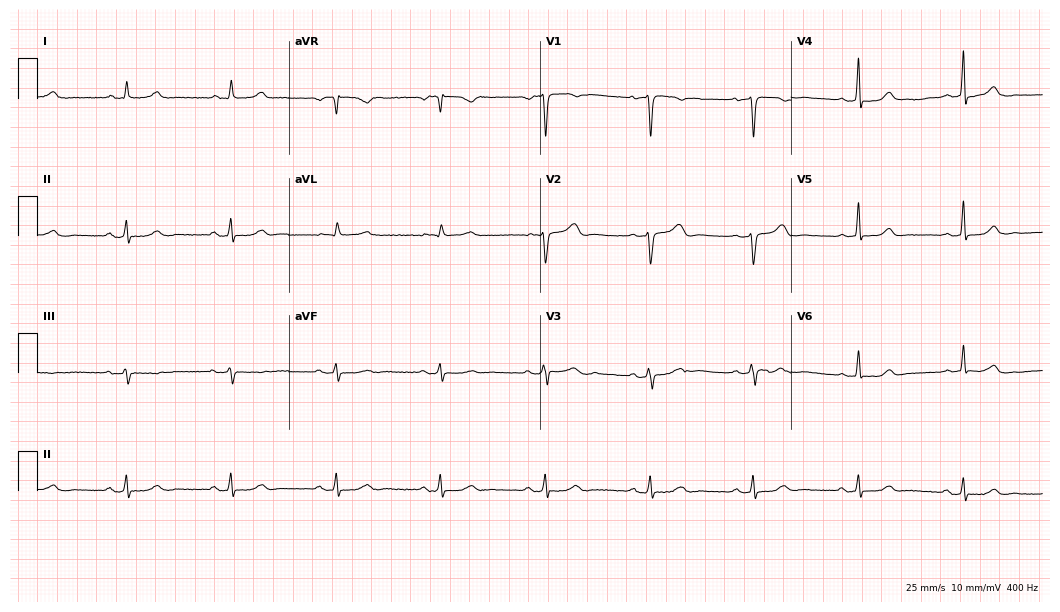
12-lead ECG from a female patient, 53 years old. Recorded interpretation: within normal limits.